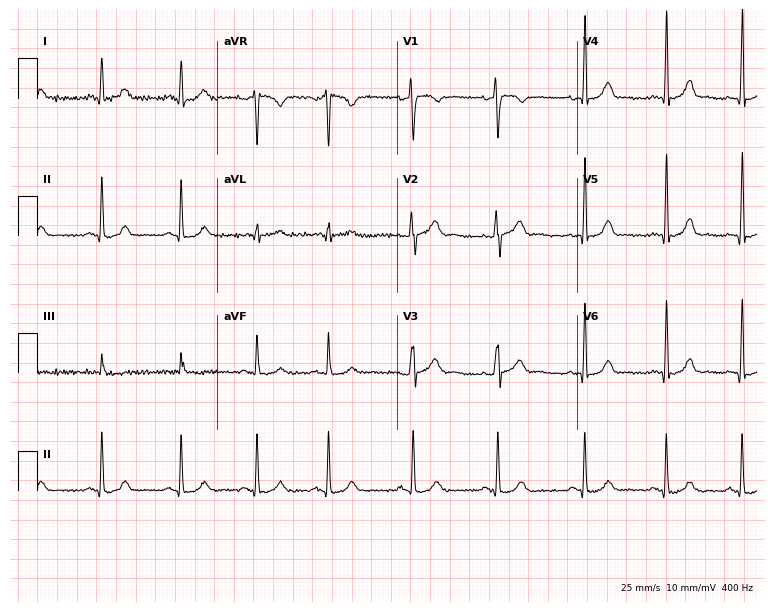
Standard 12-lead ECG recorded from a 33-year-old female patient (7.3-second recording at 400 Hz). Read as a normal ECG.